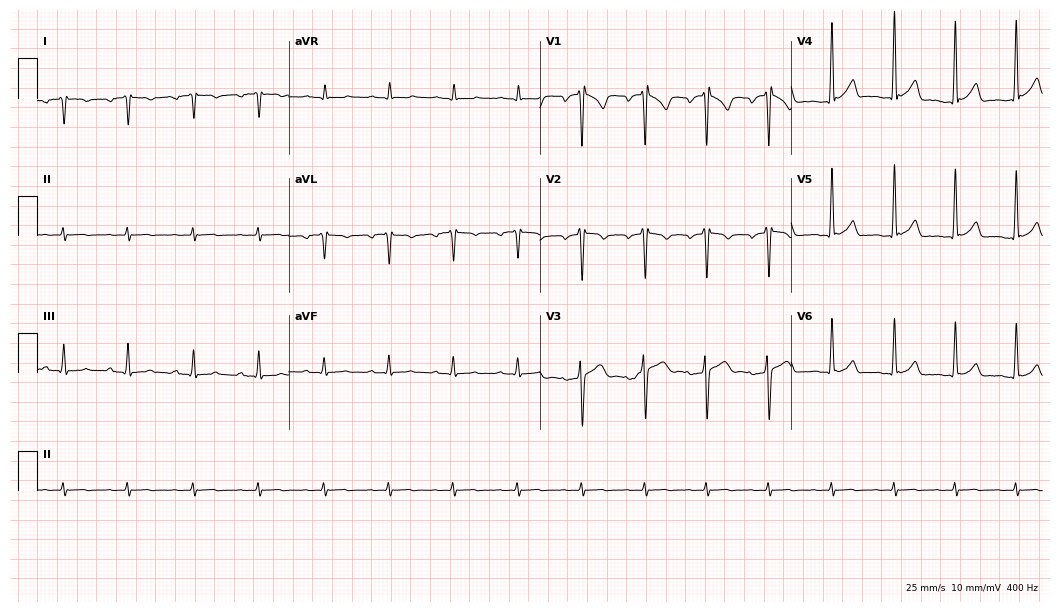
Standard 12-lead ECG recorded from an 18-year-old man. None of these six findings is recorded: first-degree AV block, right bundle branch block (RBBB), left bundle branch block (LBBB), sinus bradycardia, atrial fibrillation (AF), sinus tachycardia. Only these six findings were labelled.